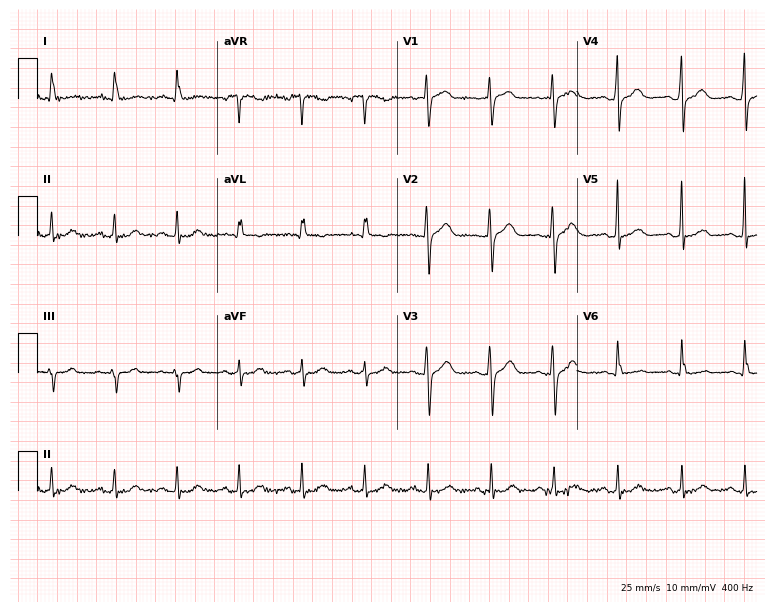
Electrocardiogram (7.3-second recording at 400 Hz), a 73-year-old female. Overall reading on record: normal ECG.